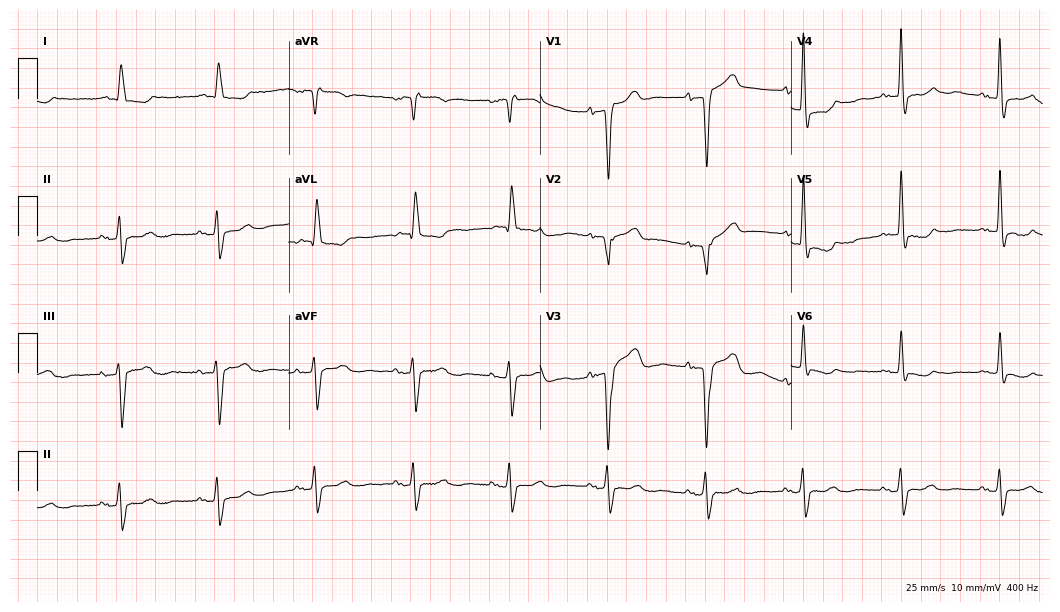
ECG (10.2-second recording at 400 Hz) — a woman, 80 years old. Screened for six findings — first-degree AV block, right bundle branch block (RBBB), left bundle branch block (LBBB), sinus bradycardia, atrial fibrillation (AF), sinus tachycardia — none is recorded. Findings outside these six are not listed.